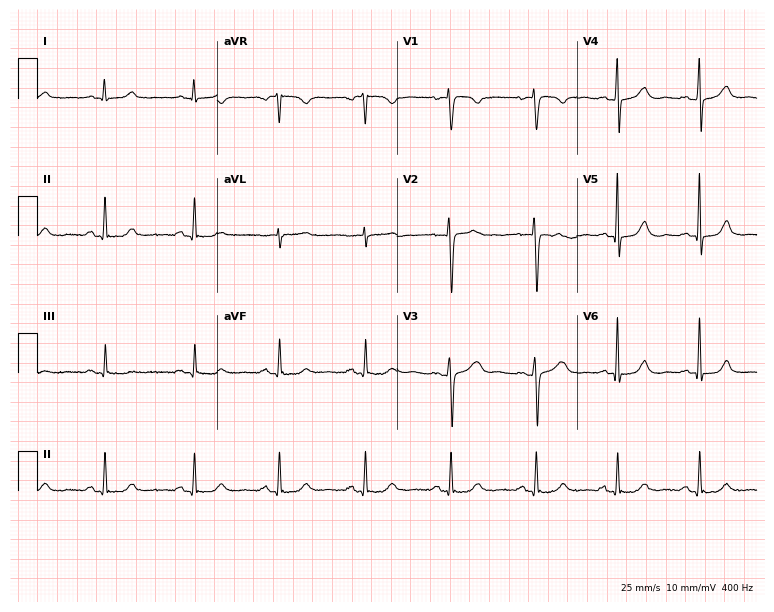
12-lead ECG (7.3-second recording at 400 Hz) from a 52-year-old female. Labelled as a normal ECG.